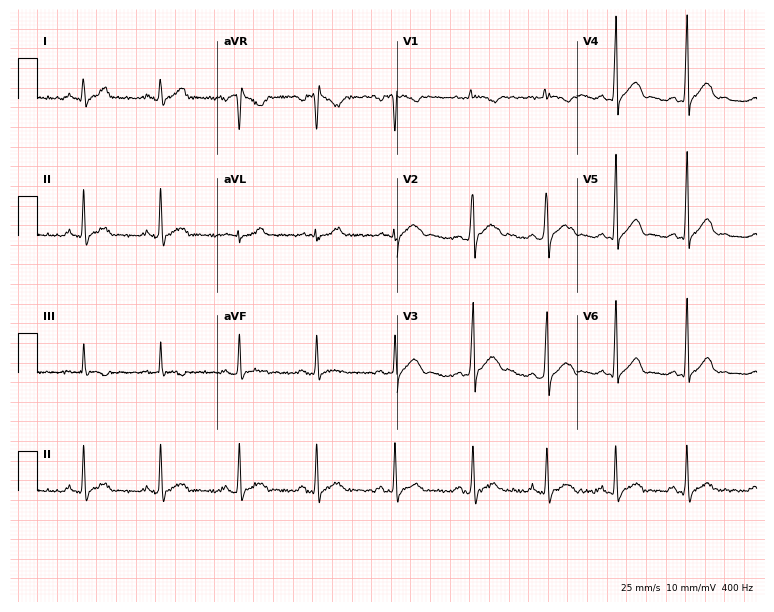
12-lead ECG from a man, 20 years old. Recorded interpretation: within normal limits.